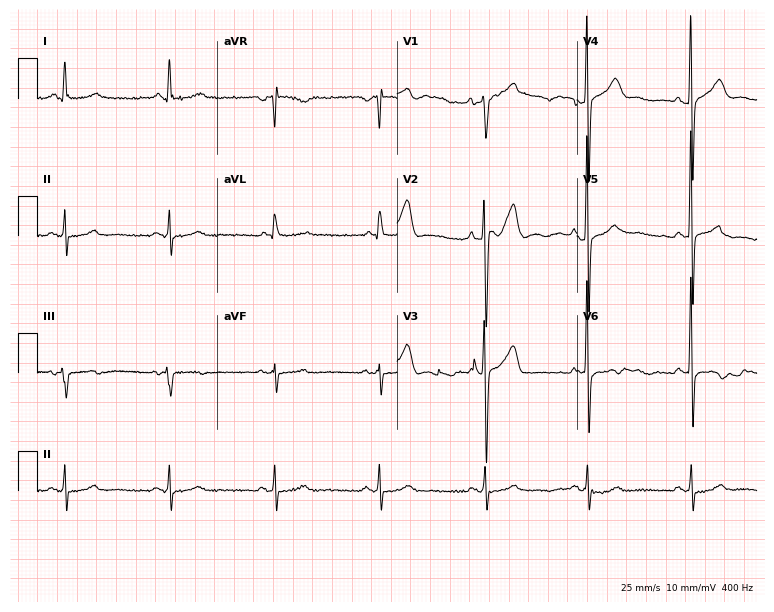
Standard 12-lead ECG recorded from a male, 63 years old. None of these six findings is recorded: first-degree AV block, right bundle branch block, left bundle branch block, sinus bradycardia, atrial fibrillation, sinus tachycardia.